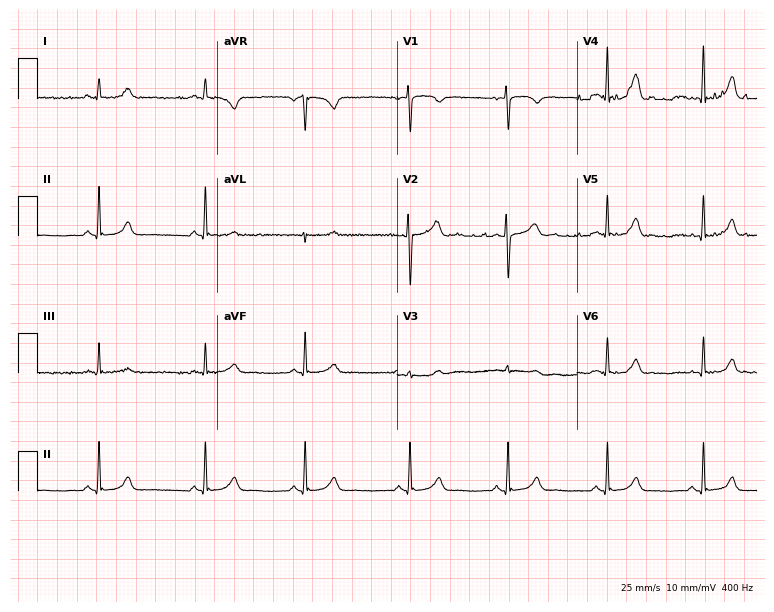
Electrocardiogram (7.3-second recording at 400 Hz), a woman, 26 years old. Of the six screened findings (first-degree AV block, right bundle branch block, left bundle branch block, sinus bradycardia, atrial fibrillation, sinus tachycardia), none is recorded. Only these six findings were labelled.